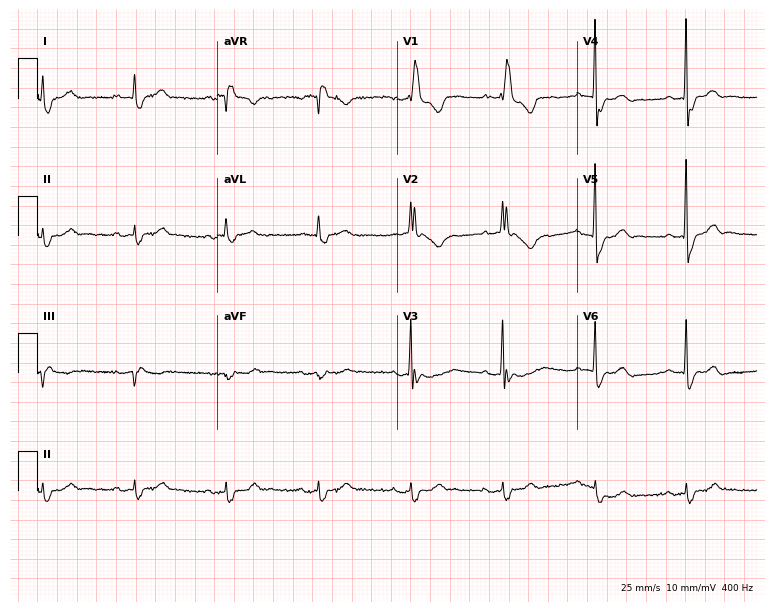
ECG — a 54-year-old female. Findings include right bundle branch block.